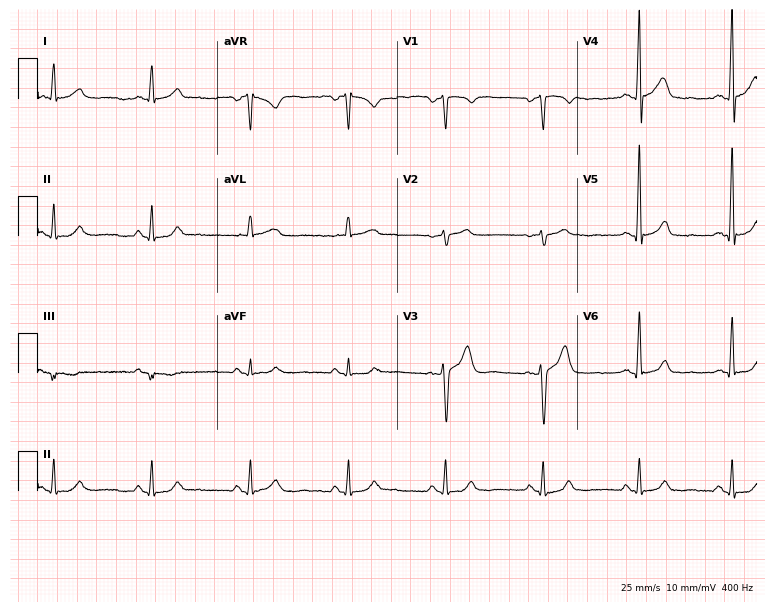
12-lead ECG from a 55-year-old male (7.3-second recording at 400 Hz). Recorded interpretation: within normal limits.